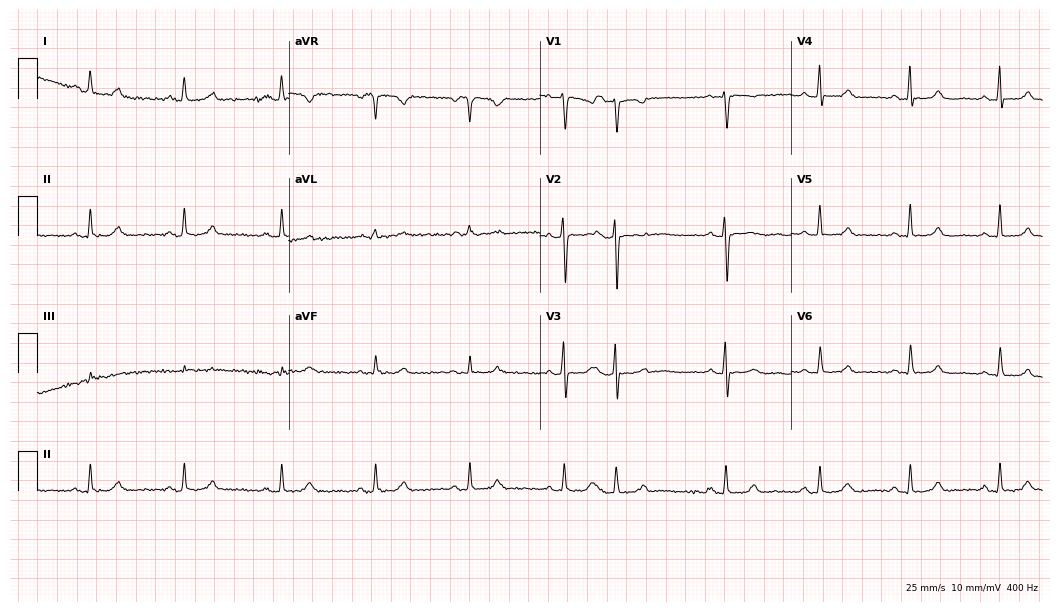
Electrocardiogram, a female patient, 52 years old. Overall reading on record: normal ECG.